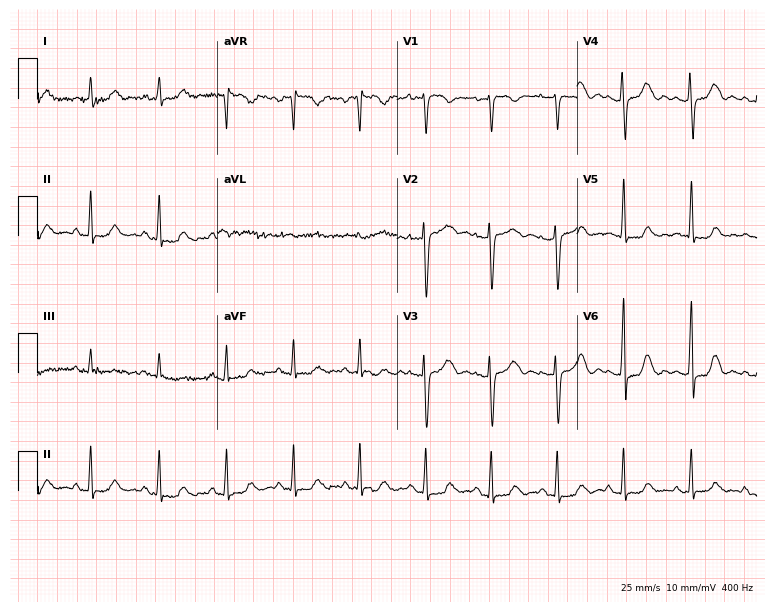
12-lead ECG from a female, 52 years old. Labelled as a normal ECG.